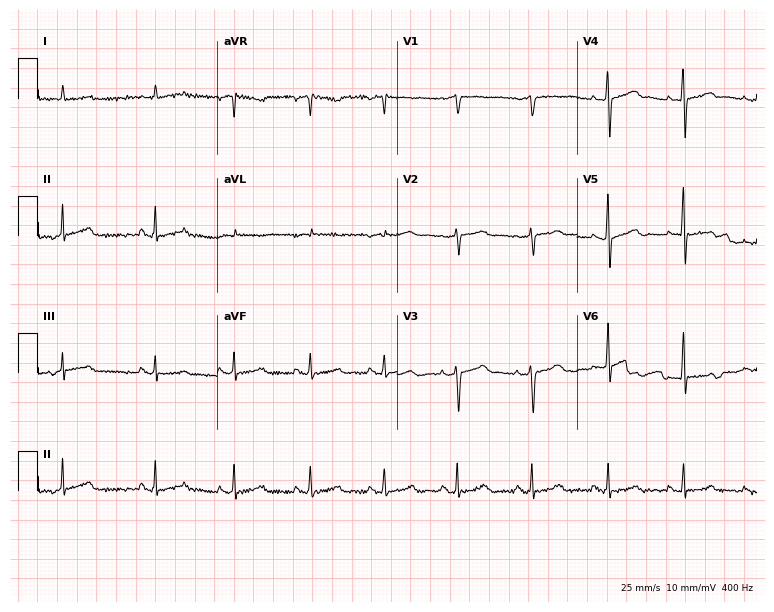
Resting 12-lead electrocardiogram (7.3-second recording at 400 Hz). Patient: a male, 79 years old. Read as a normal ECG.